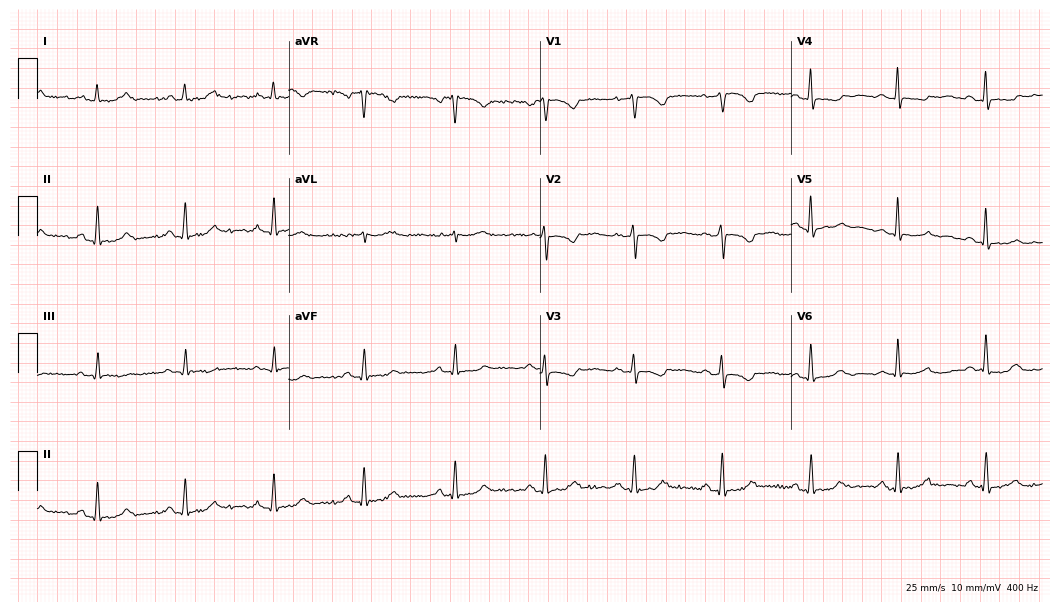
12-lead ECG from a woman, 57 years old. No first-degree AV block, right bundle branch block, left bundle branch block, sinus bradycardia, atrial fibrillation or sinus tachycardia recorded for this tracing.